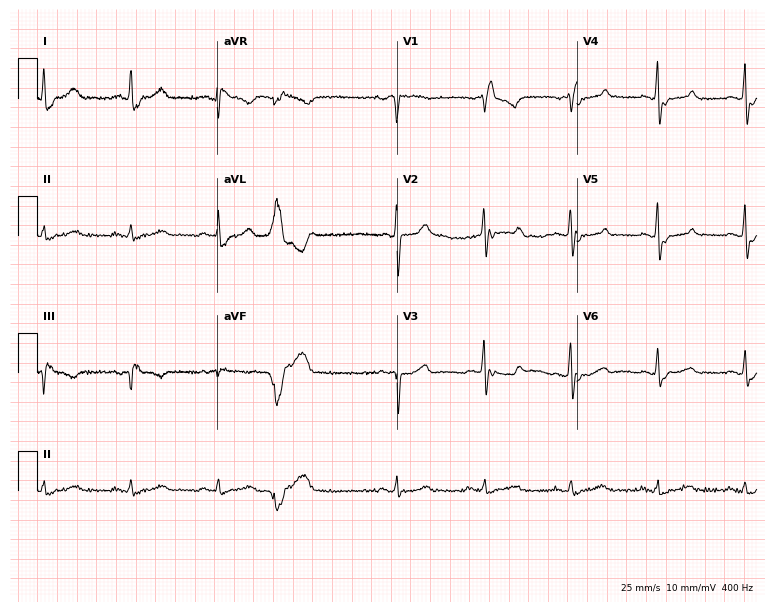
12-lead ECG (7.3-second recording at 400 Hz) from a 65-year-old man. Findings include right bundle branch block.